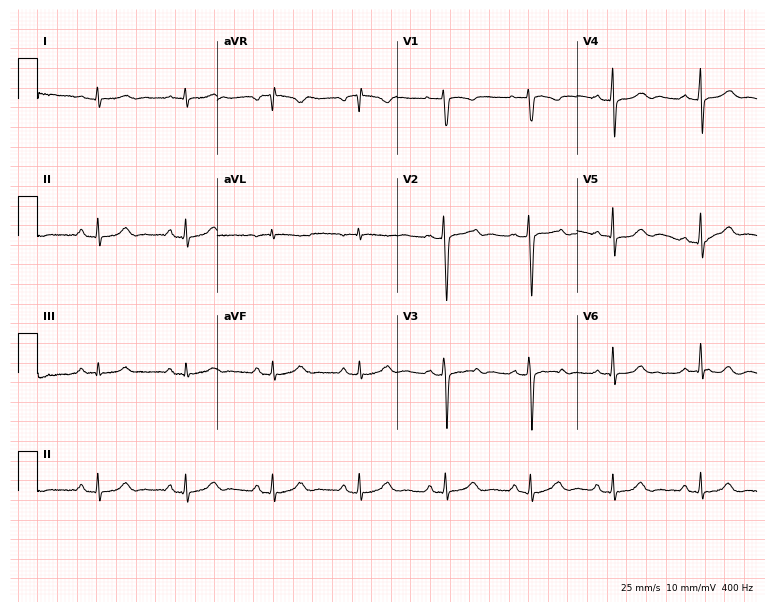
12-lead ECG (7.3-second recording at 400 Hz) from a 37-year-old female patient. Labelled as a normal ECG.